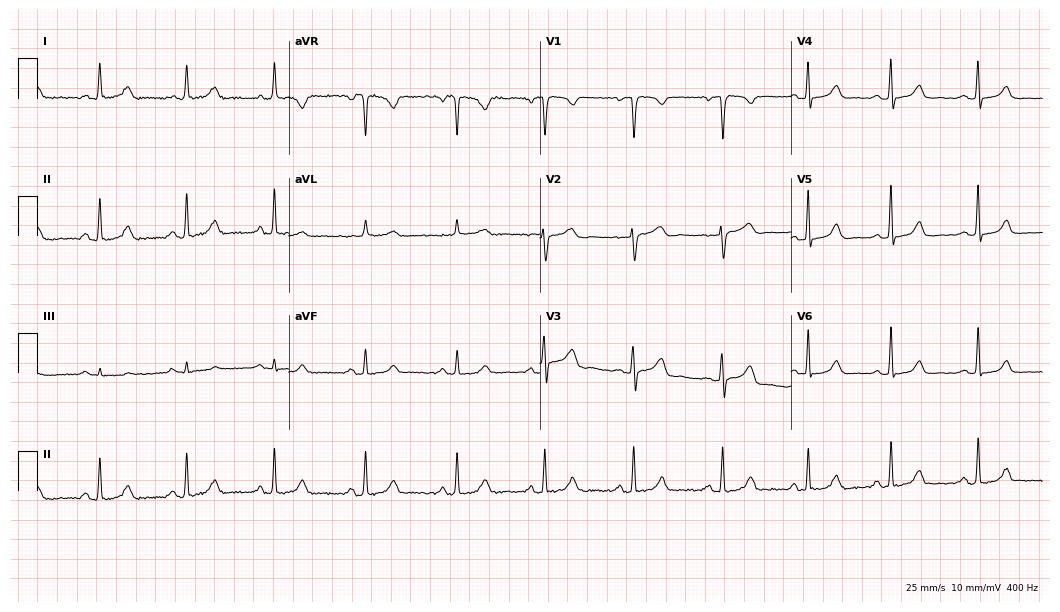
Resting 12-lead electrocardiogram (10.2-second recording at 400 Hz). Patient: a woman, 47 years old. Read as a normal ECG.